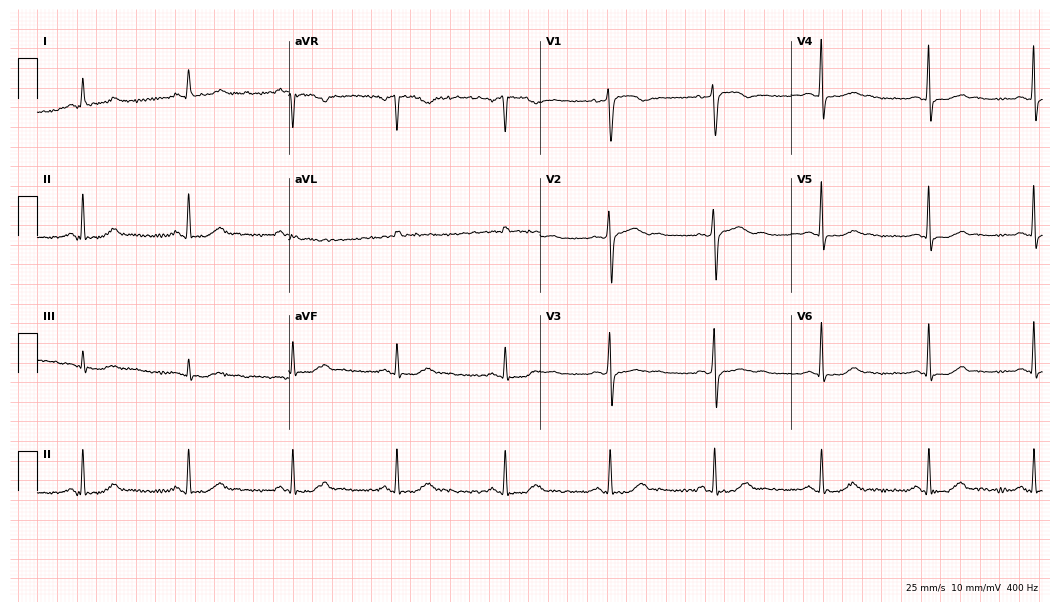
Resting 12-lead electrocardiogram (10.2-second recording at 400 Hz). Patient: a woman, 59 years old. None of these six findings is recorded: first-degree AV block, right bundle branch block, left bundle branch block, sinus bradycardia, atrial fibrillation, sinus tachycardia. Findings outside these six are not listed.